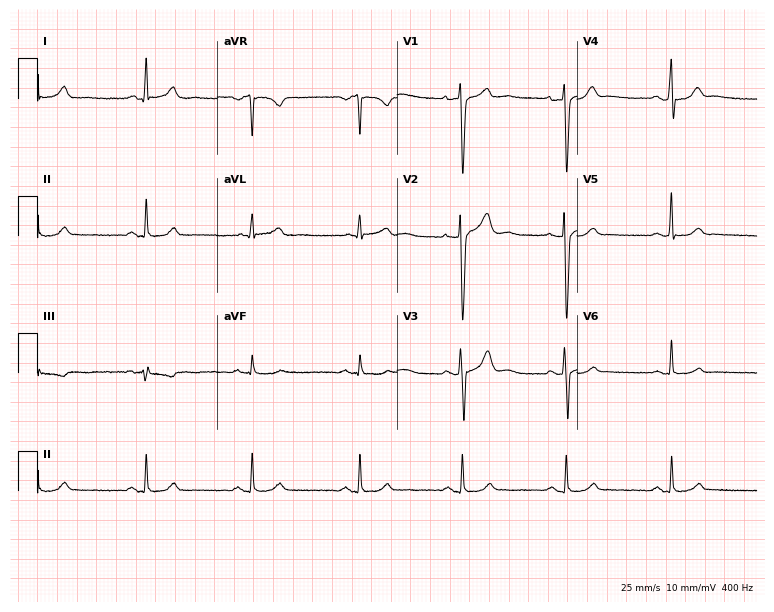
Standard 12-lead ECG recorded from a 35-year-old man. Read as a normal ECG.